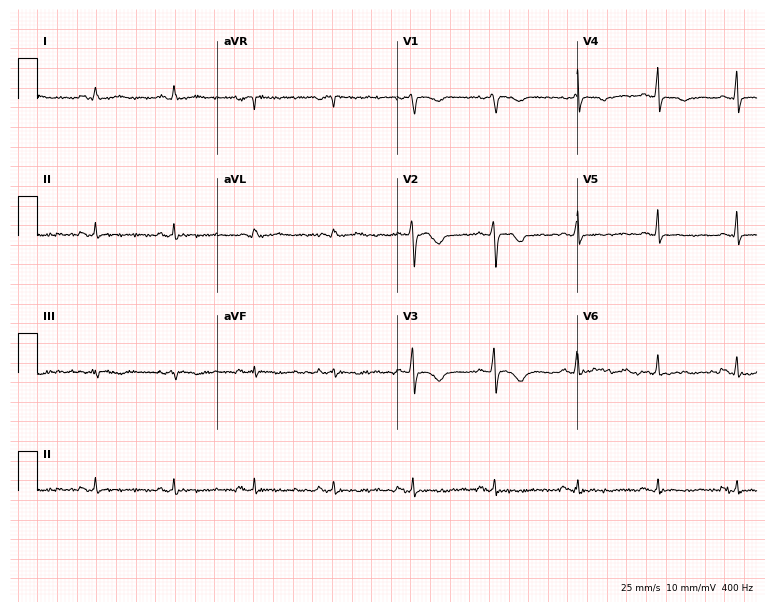
Electrocardiogram, a 32-year-old female. Of the six screened findings (first-degree AV block, right bundle branch block, left bundle branch block, sinus bradycardia, atrial fibrillation, sinus tachycardia), none is recorded.